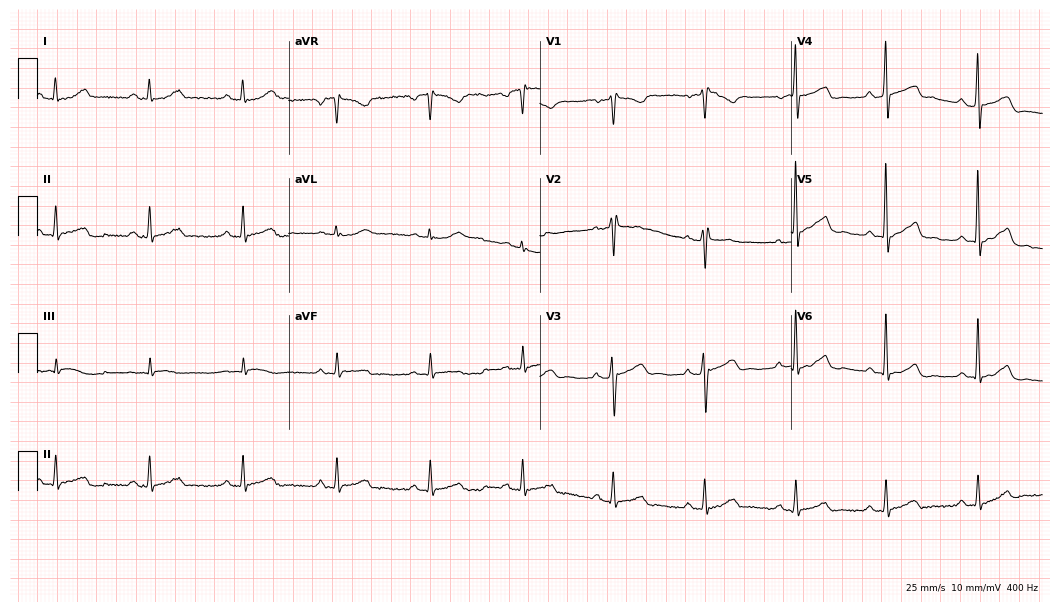
ECG (10.2-second recording at 400 Hz) — a male, 56 years old. Screened for six findings — first-degree AV block, right bundle branch block (RBBB), left bundle branch block (LBBB), sinus bradycardia, atrial fibrillation (AF), sinus tachycardia — none is recorded. Other findings, if any, are not listed.